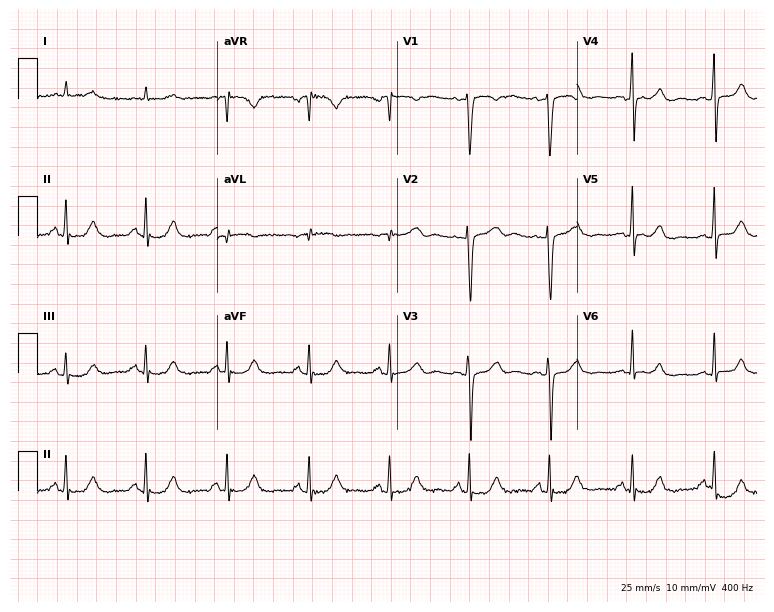
Resting 12-lead electrocardiogram. Patient: a man, 54 years old. Read as a normal ECG.